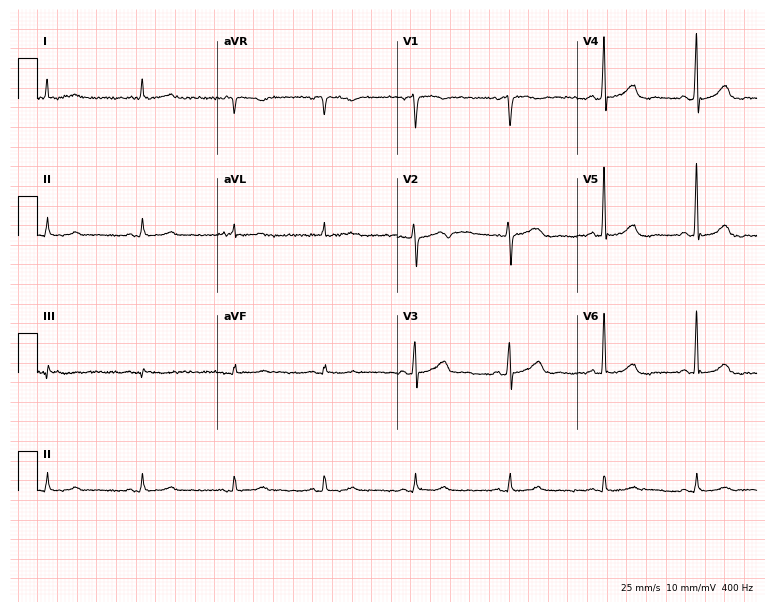
Standard 12-lead ECG recorded from a 61-year-old woman (7.3-second recording at 400 Hz). Read as a normal ECG.